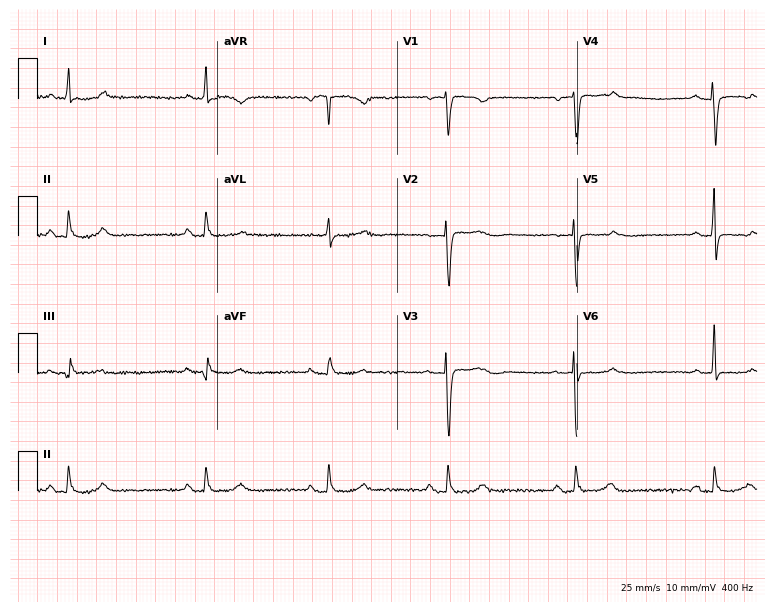
12-lead ECG from a 62-year-old female patient (7.3-second recording at 400 Hz). No first-degree AV block, right bundle branch block (RBBB), left bundle branch block (LBBB), sinus bradycardia, atrial fibrillation (AF) or sinus tachycardia recorded for this tracing. Only these six findings were labelled.